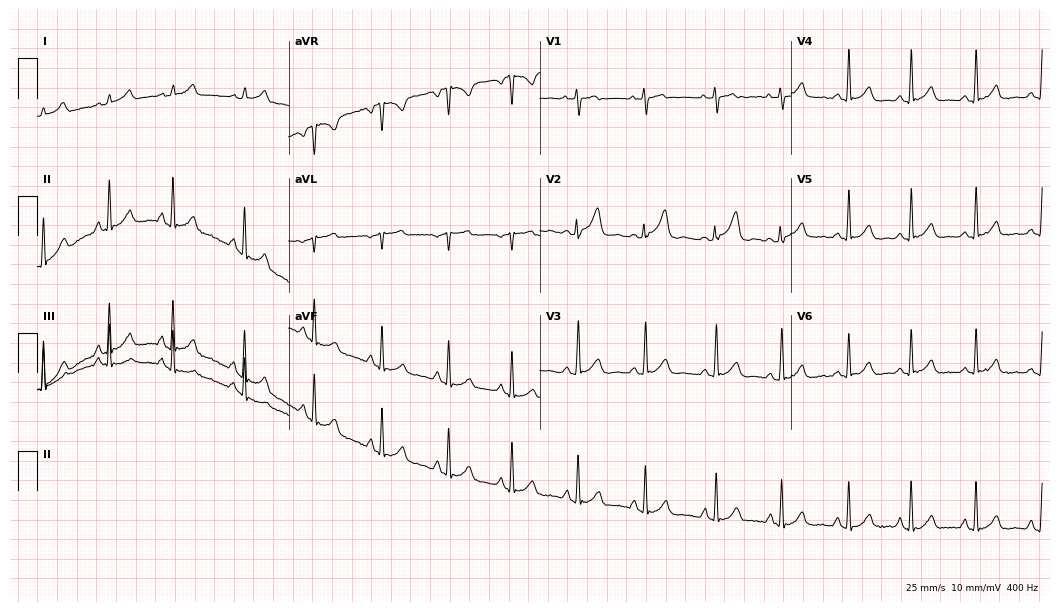
12-lead ECG from an 18-year-old woman. Recorded interpretation: within normal limits.